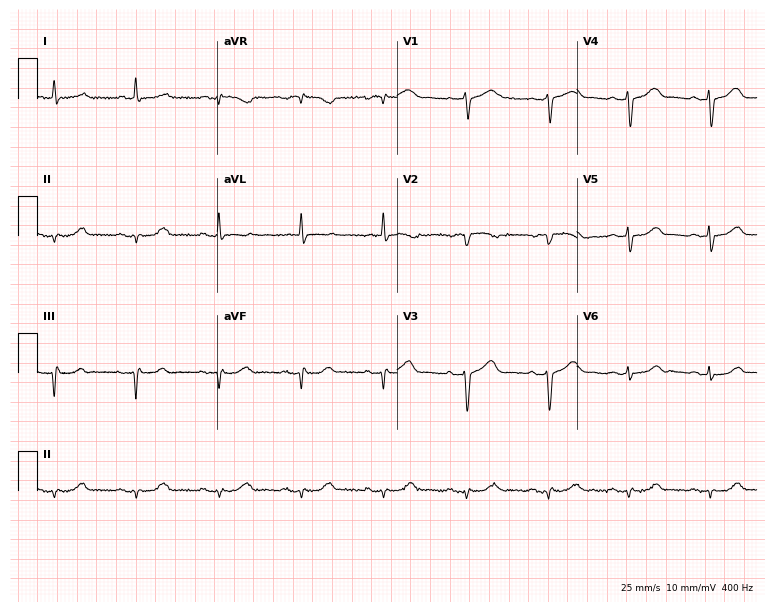
Standard 12-lead ECG recorded from a male patient, 81 years old (7.3-second recording at 400 Hz). None of these six findings is recorded: first-degree AV block, right bundle branch block, left bundle branch block, sinus bradycardia, atrial fibrillation, sinus tachycardia. Findings outside these six are not listed.